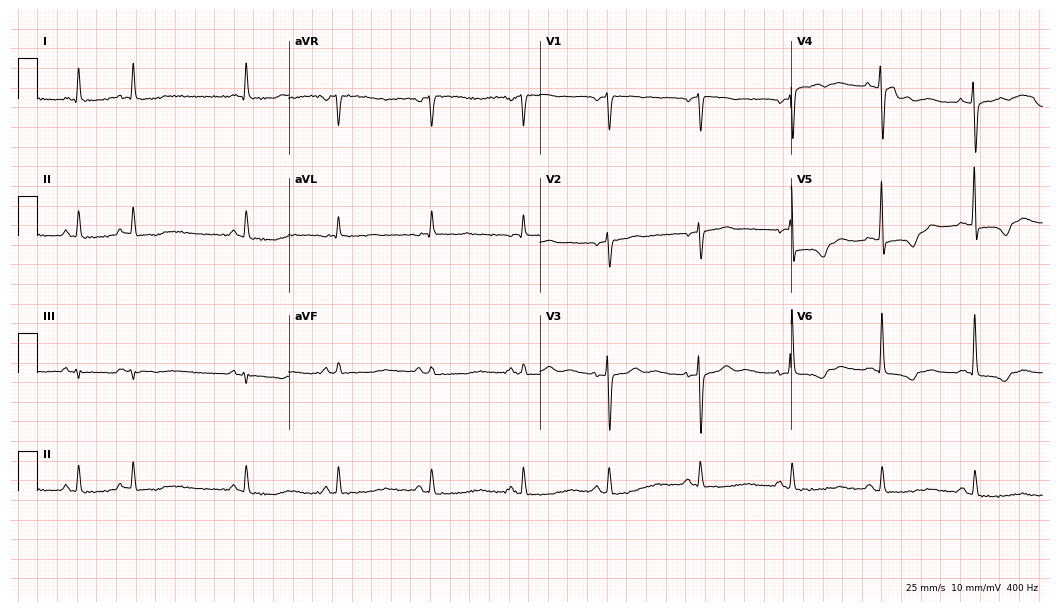
Standard 12-lead ECG recorded from a female, 81 years old. None of these six findings is recorded: first-degree AV block, right bundle branch block, left bundle branch block, sinus bradycardia, atrial fibrillation, sinus tachycardia. Findings outside these six are not listed.